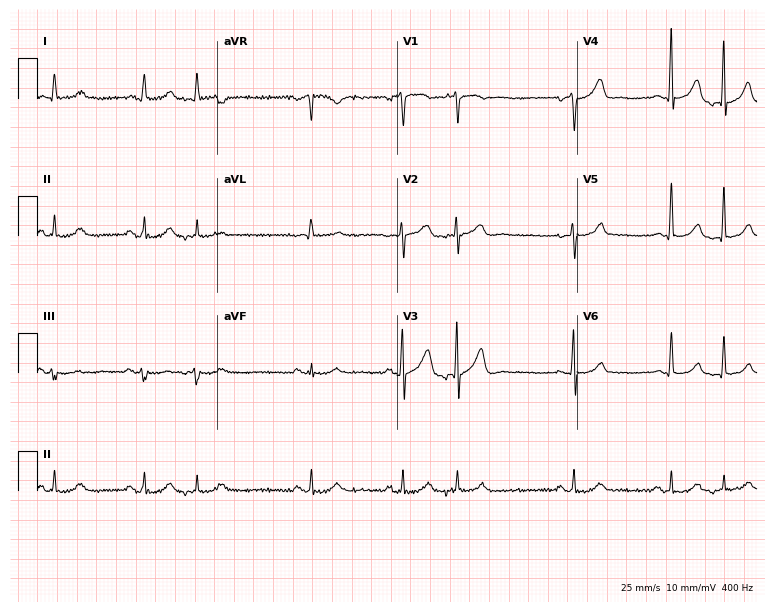
Resting 12-lead electrocardiogram. Patient: a man, 70 years old. None of these six findings is recorded: first-degree AV block, right bundle branch block, left bundle branch block, sinus bradycardia, atrial fibrillation, sinus tachycardia. Only these six findings were labelled.